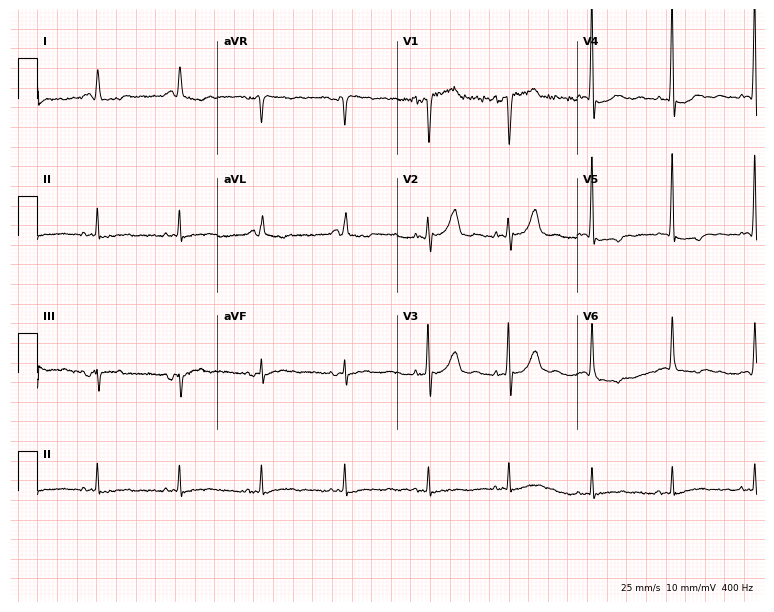
12-lead ECG from a 78-year-old woman. No first-degree AV block, right bundle branch block, left bundle branch block, sinus bradycardia, atrial fibrillation or sinus tachycardia recorded for this tracing.